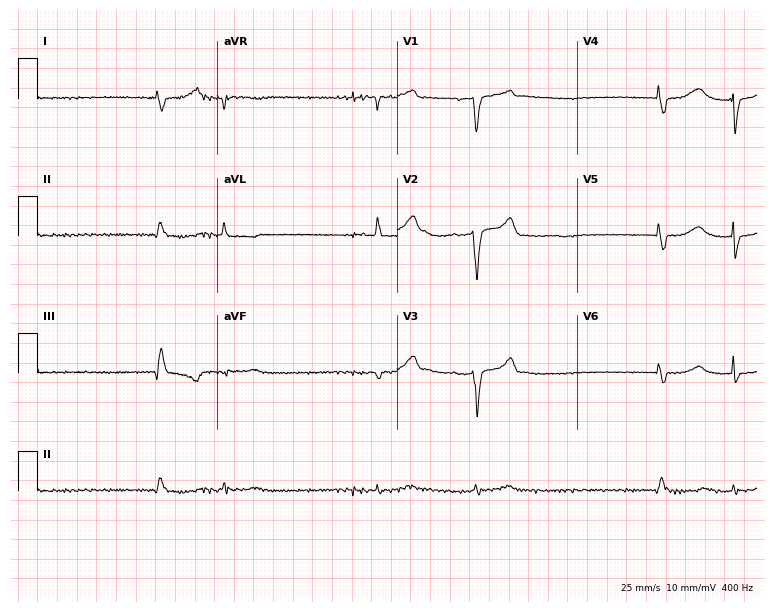
Standard 12-lead ECG recorded from a woman, 76 years old (7.3-second recording at 400 Hz). None of these six findings is recorded: first-degree AV block, right bundle branch block (RBBB), left bundle branch block (LBBB), sinus bradycardia, atrial fibrillation (AF), sinus tachycardia. Findings outside these six are not listed.